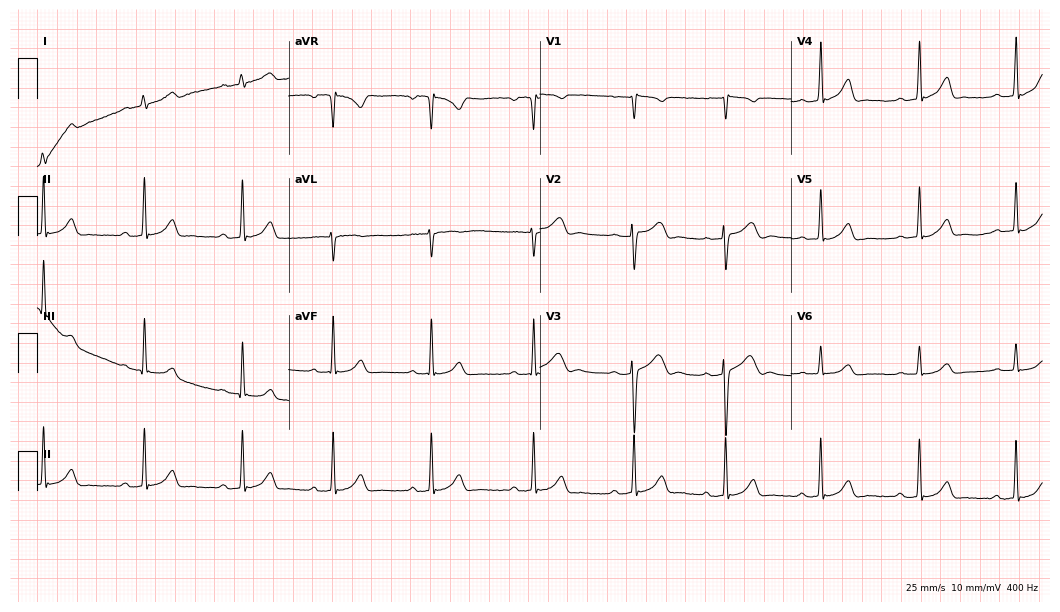
12-lead ECG (10.2-second recording at 400 Hz) from a female patient, 19 years old. Screened for six findings — first-degree AV block, right bundle branch block, left bundle branch block, sinus bradycardia, atrial fibrillation, sinus tachycardia — none is recorded.